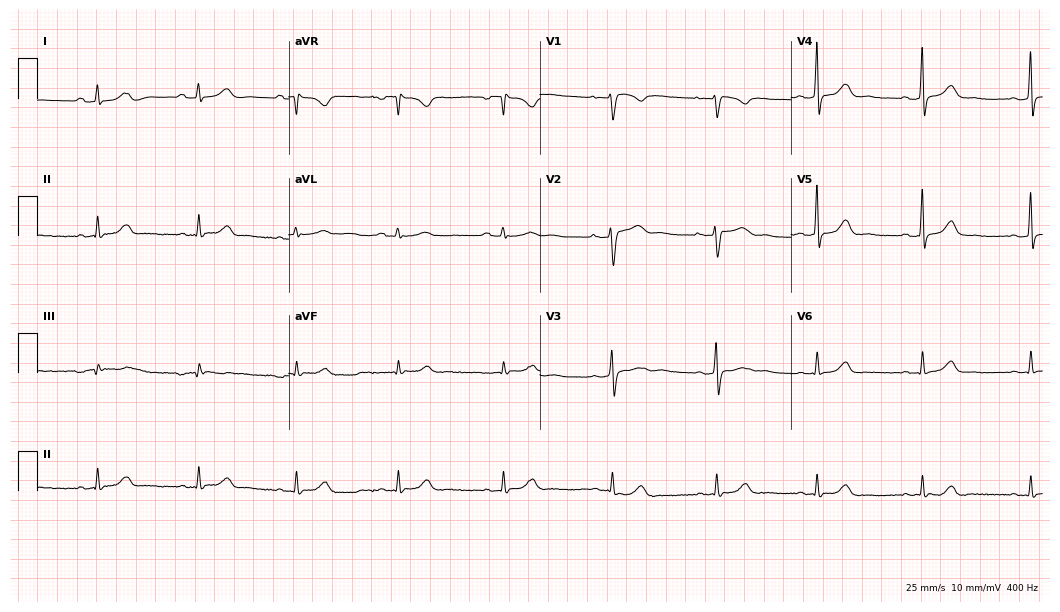
ECG — a woman, 36 years old. Labelled as a normal ECG.